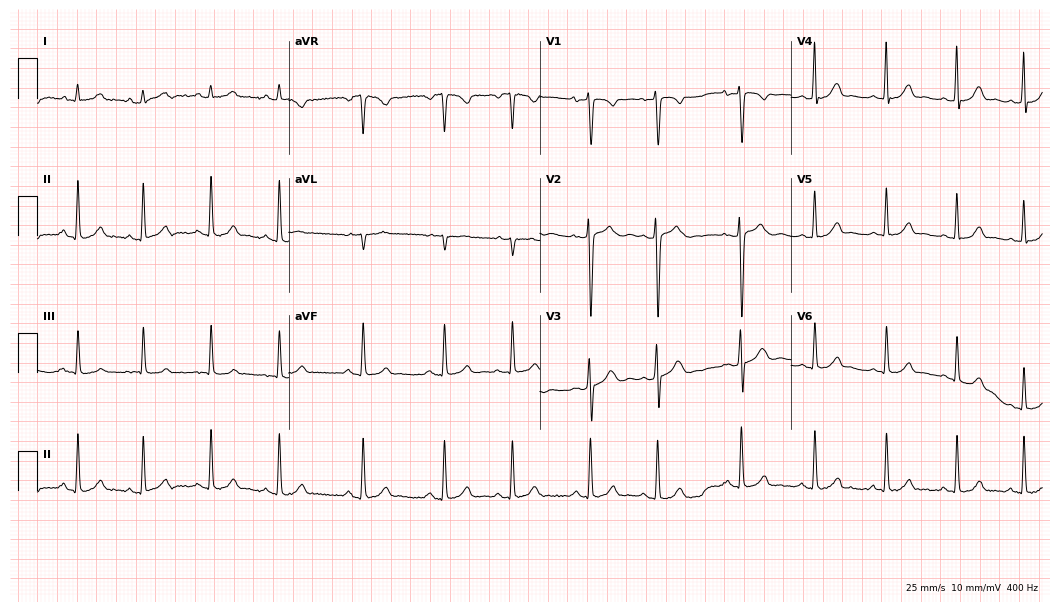
ECG (10.2-second recording at 400 Hz) — a female patient, 20 years old. Labelled as a normal ECG.